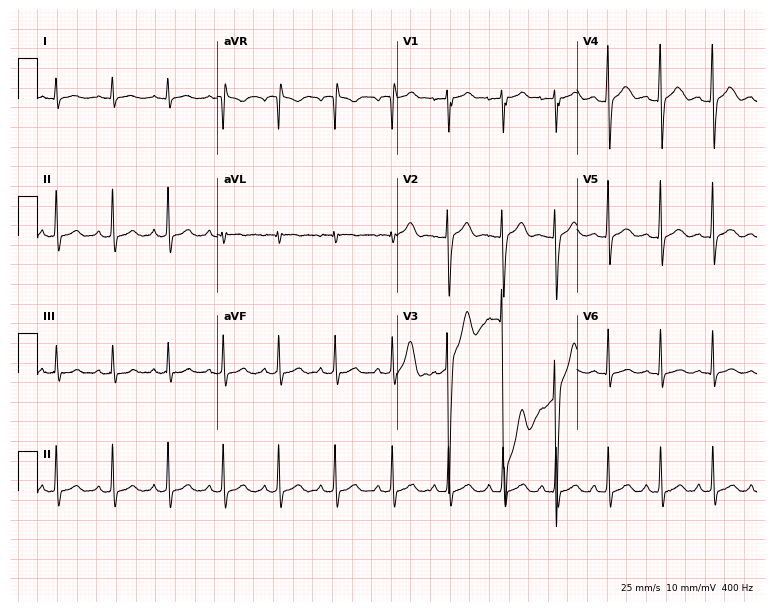
12-lead ECG (7.3-second recording at 400 Hz) from a 26-year-old male patient. Findings include sinus tachycardia (a sinus rate of 100 beats per minute or more).